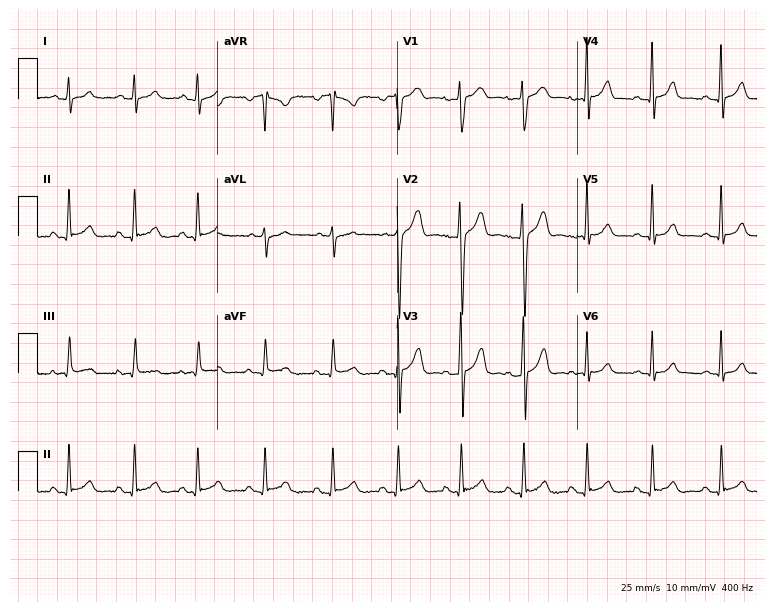
12-lead ECG from a male patient, 21 years old. Labelled as a normal ECG.